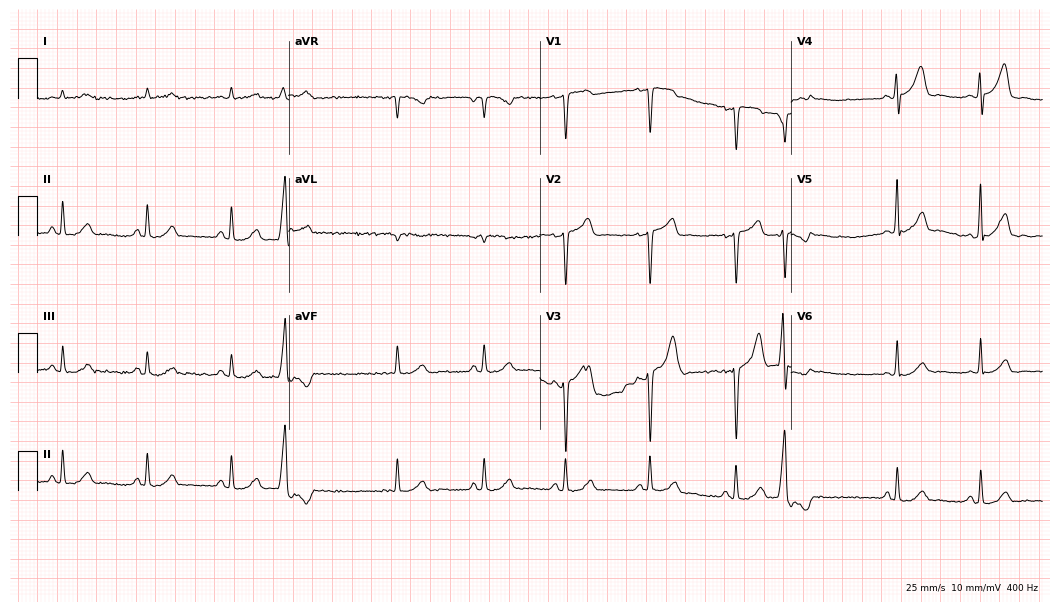
12-lead ECG from a man, 85 years old. Labelled as a normal ECG.